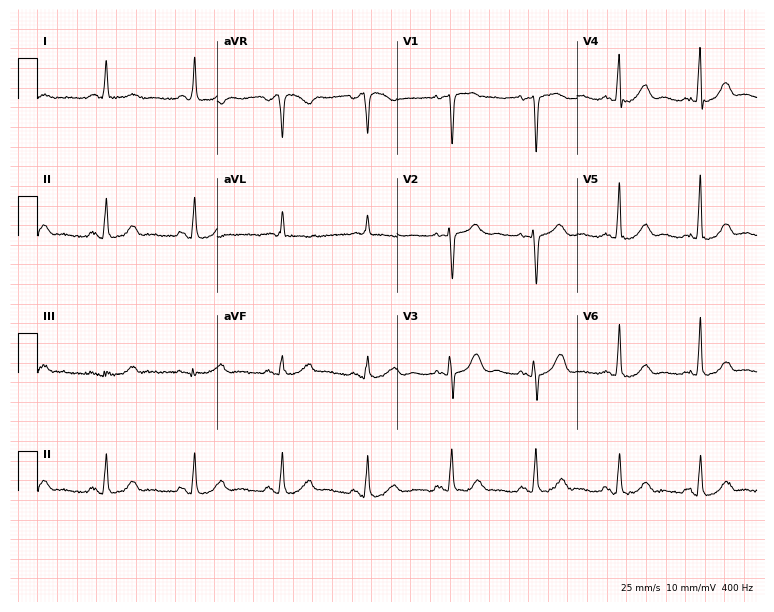
Standard 12-lead ECG recorded from a female patient, 71 years old (7.3-second recording at 400 Hz). Read as a normal ECG.